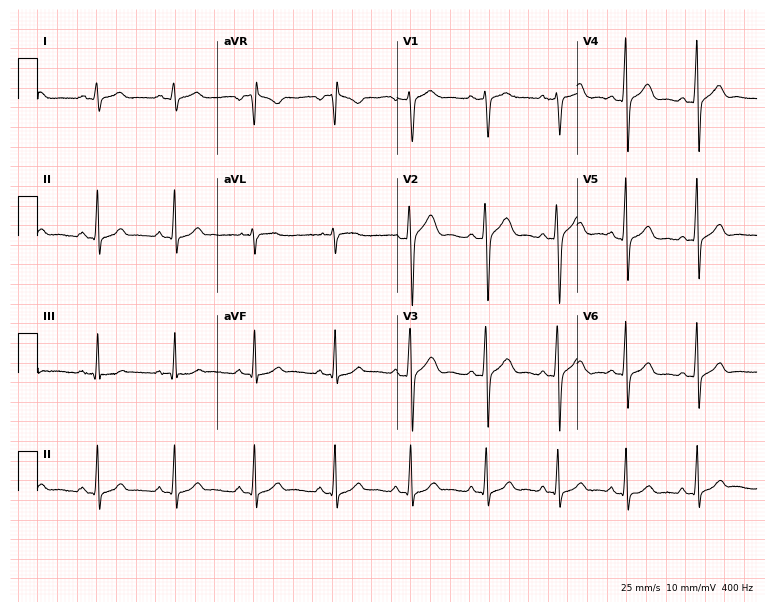
ECG (7.3-second recording at 400 Hz) — a male, 19 years old. Labelled as a normal ECG.